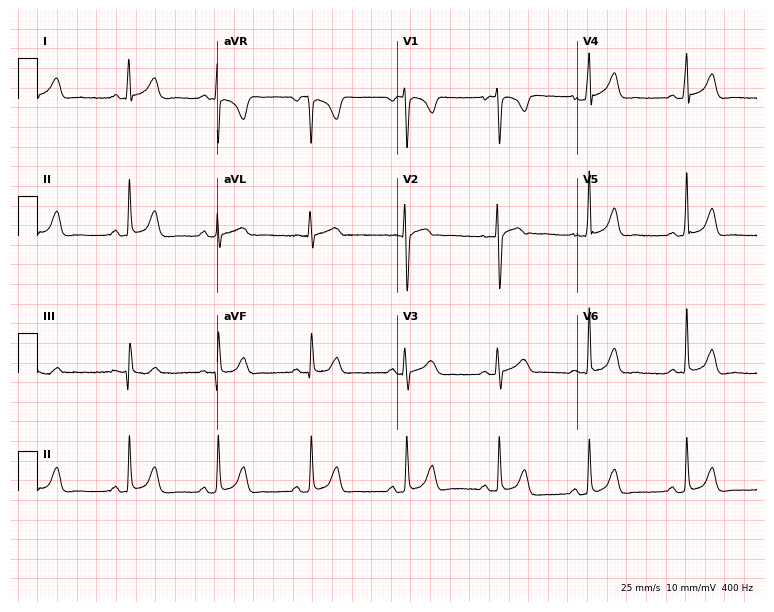
ECG (7.3-second recording at 400 Hz) — a female patient, 18 years old. Labelled as a normal ECG.